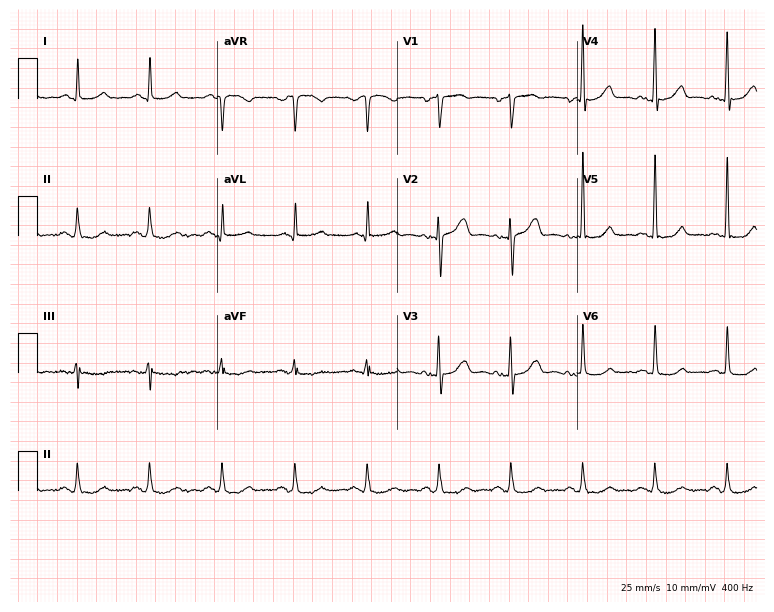
Resting 12-lead electrocardiogram (7.3-second recording at 400 Hz). Patient: a 60-year-old man. Read as a normal ECG.